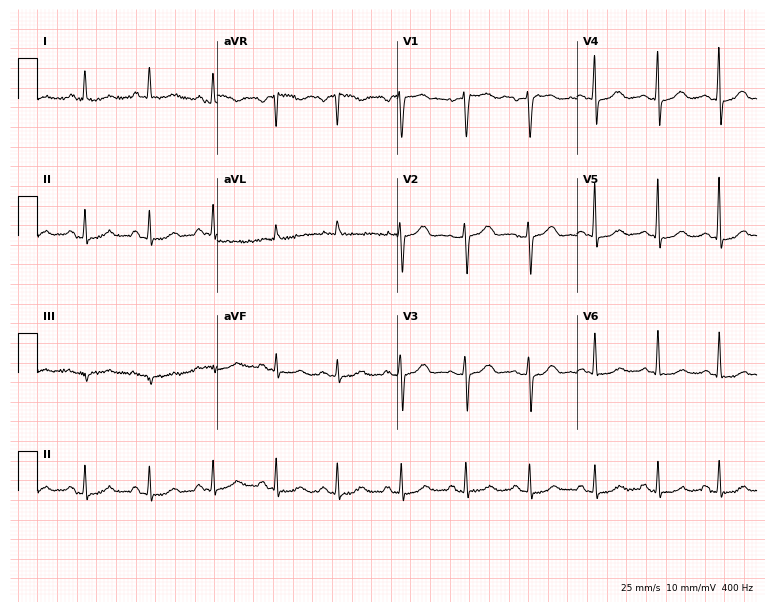
ECG — a female patient, 75 years old. Screened for six findings — first-degree AV block, right bundle branch block, left bundle branch block, sinus bradycardia, atrial fibrillation, sinus tachycardia — none is recorded.